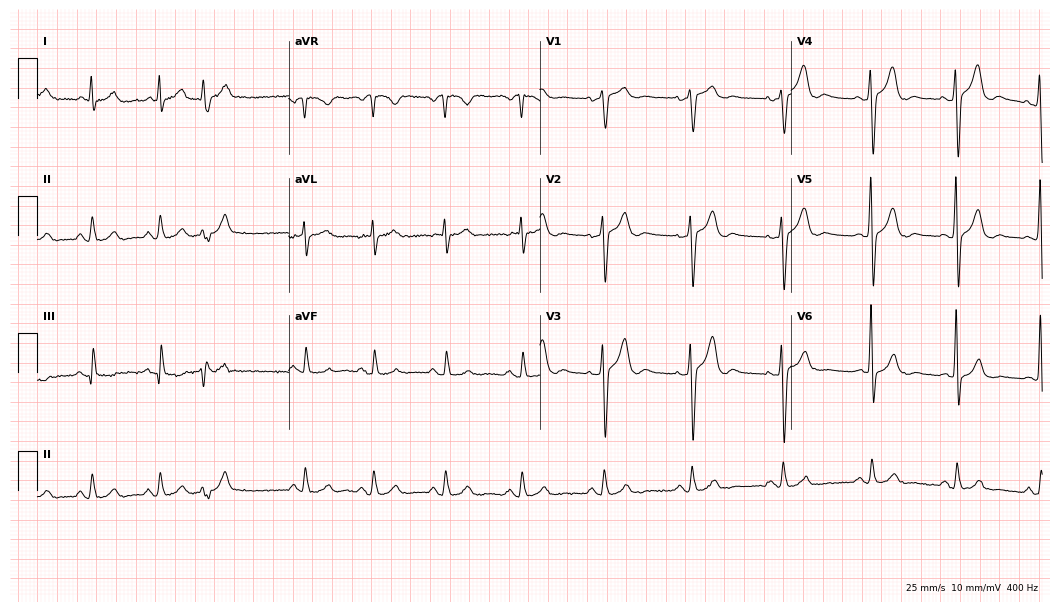
12-lead ECG (10.2-second recording at 400 Hz) from a man, 56 years old. Screened for six findings — first-degree AV block, right bundle branch block, left bundle branch block, sinus bradycardia, atrial fibrillation, sinus tachycardia — none is recorded. Findings outside these six are not listed.